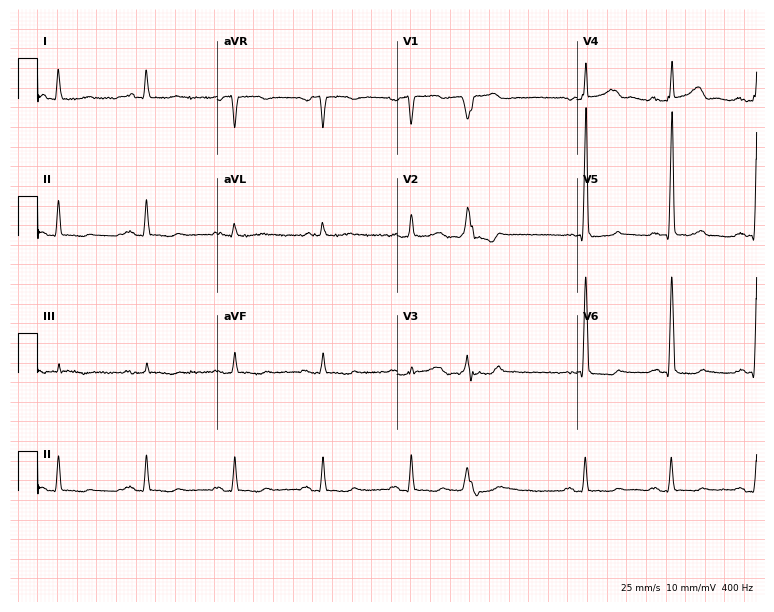
Resting 12-lead electrocardiogram. Patient: a man, 82 years old. None of these six findings is recorded: first-degree AV block, right bundle branch block, left bundle branch block, sinus bradycardia, atrial fibrillation, sinus tachycardia.